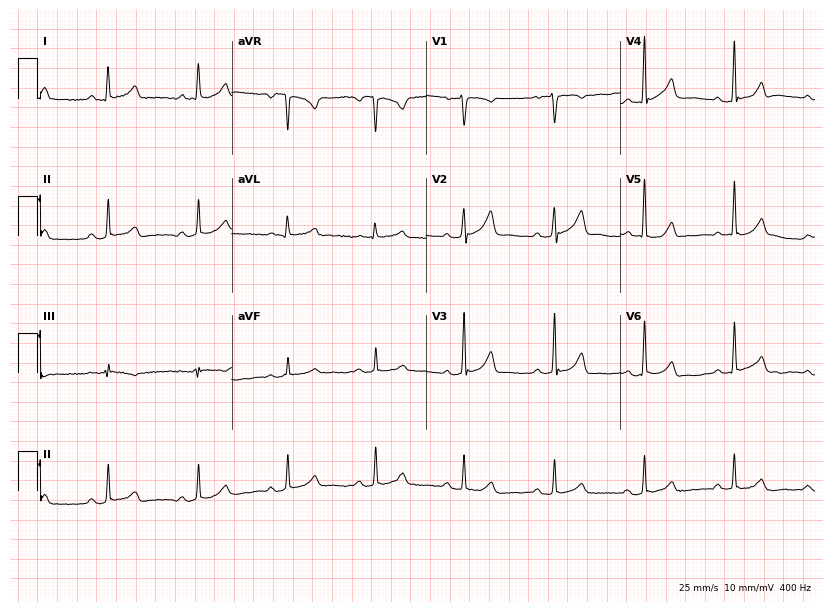
12-lead ECG (7.9-second recording at 400 Hz) from a woman, 46 years old. Screened for six findings — first-degree AV block, right bundle branch block, left bundle branch block, sinus bradycardia, atrial fibrillation, sinus tachycardia — none is recorded.